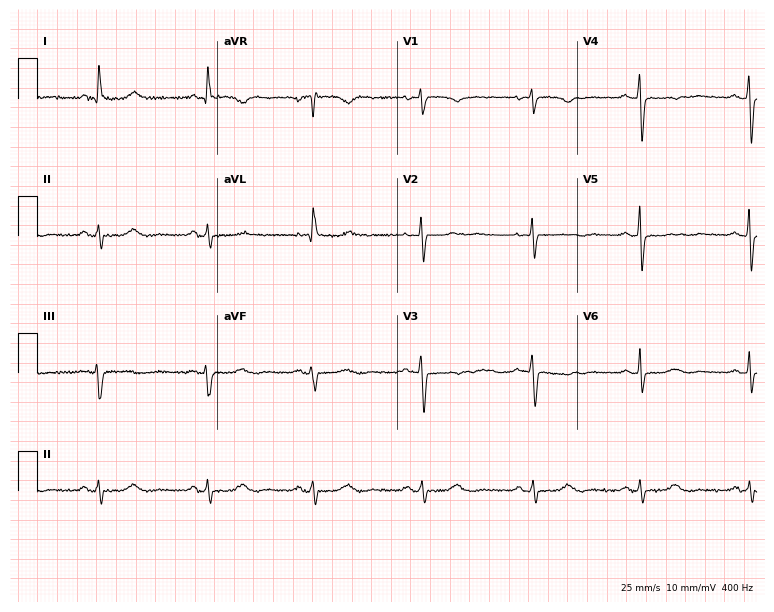
12-lead ECG from a 58-year-old woman. Screened for six findings — first-degree AV block, right bundle branch block (RBBB), left bundle branch block (LBBB), sinus bradycardia, atrial fibrillation (AF), sinus tachycardia — none is recorded. Other findings, if any, are not listed.